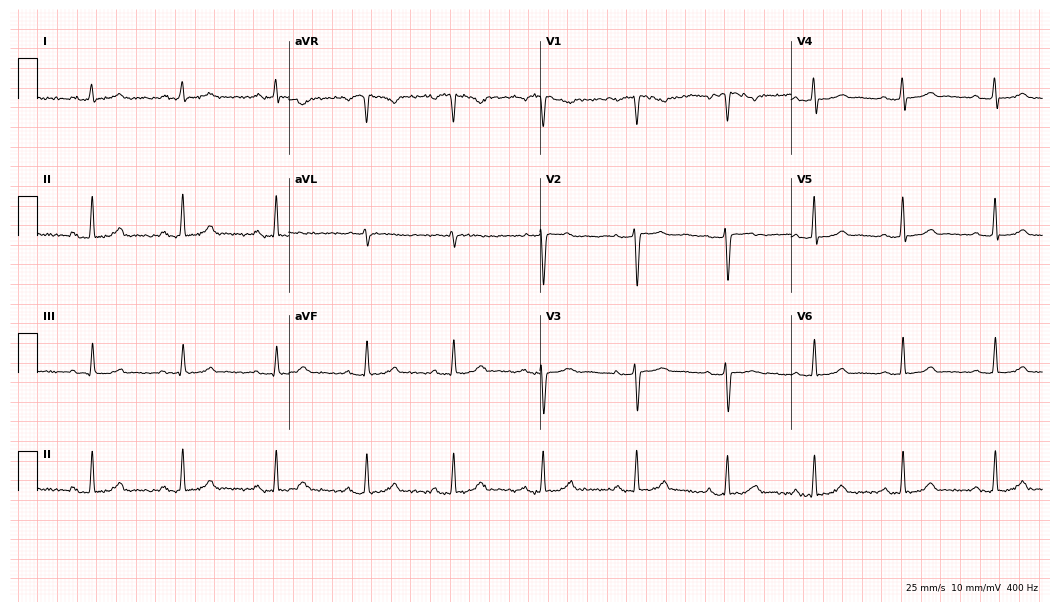
Resting 12-lead electrocardiogram (10.2-second recording at 400 Hz). Patient: a female, 34 years old. Read as a normal ECG.